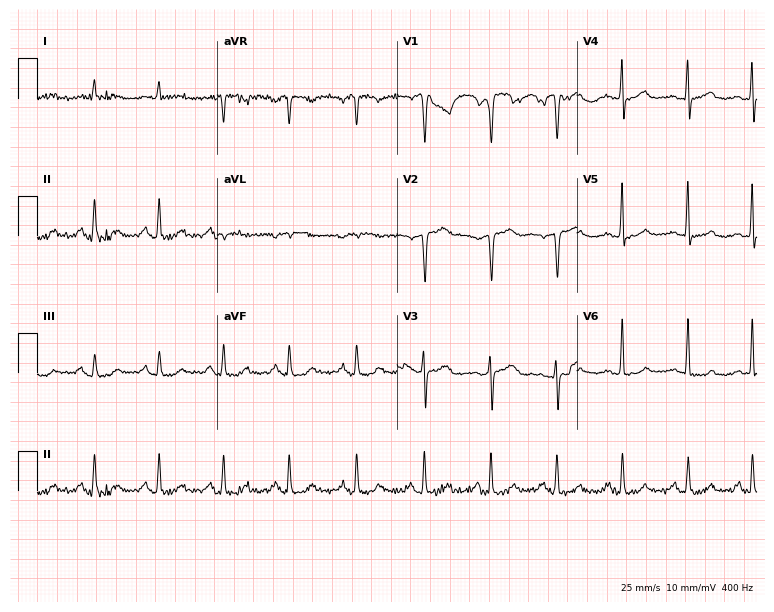
12-lead ECG from a man, 67 years old (7.3-second recording at 400 Hz). Recorded interpretation: within normal limits.